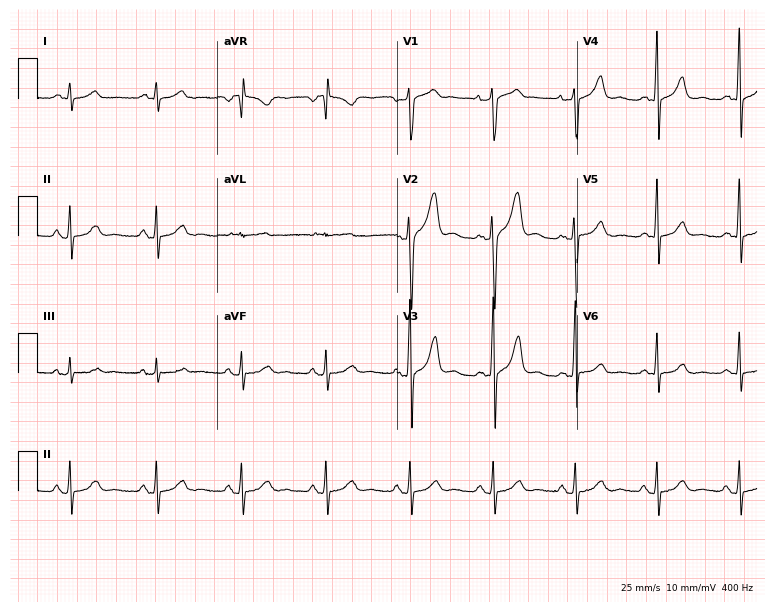
ECG (7.3-second recording at 400 Hz) — a 45-year-old male patient. Labelled as a normal ECG.